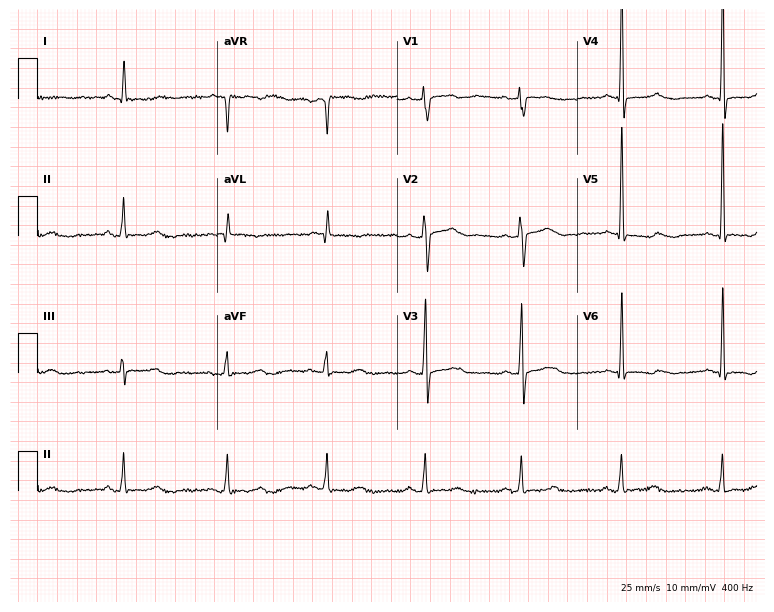
Electrocardiogram, a 74-year-old female. Of the six screened findings (first-degree AV block, right bundle branch block, left bundle branch block, sinus bradycardia, atrial fibrillation, sinus tachycardia), none is recorded. Findings outside these six are not listed.